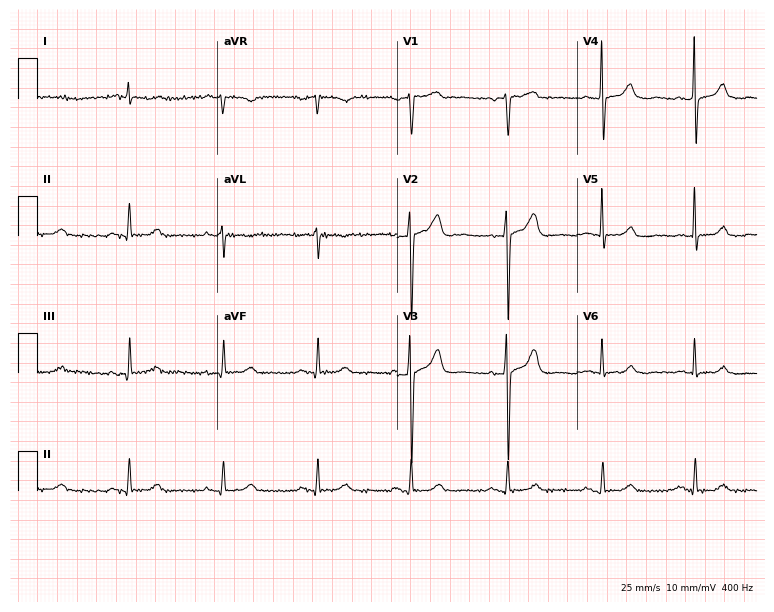
Standard 12-lead ECG recorded from a female patient, 80 years old. None of these six findings is recorded: first-degree AV block, right bundle branch block, left bundle branch block, sinus bradycardia, atrial fibrillation, sinus tachycardia. Findings outside these six are not listed.